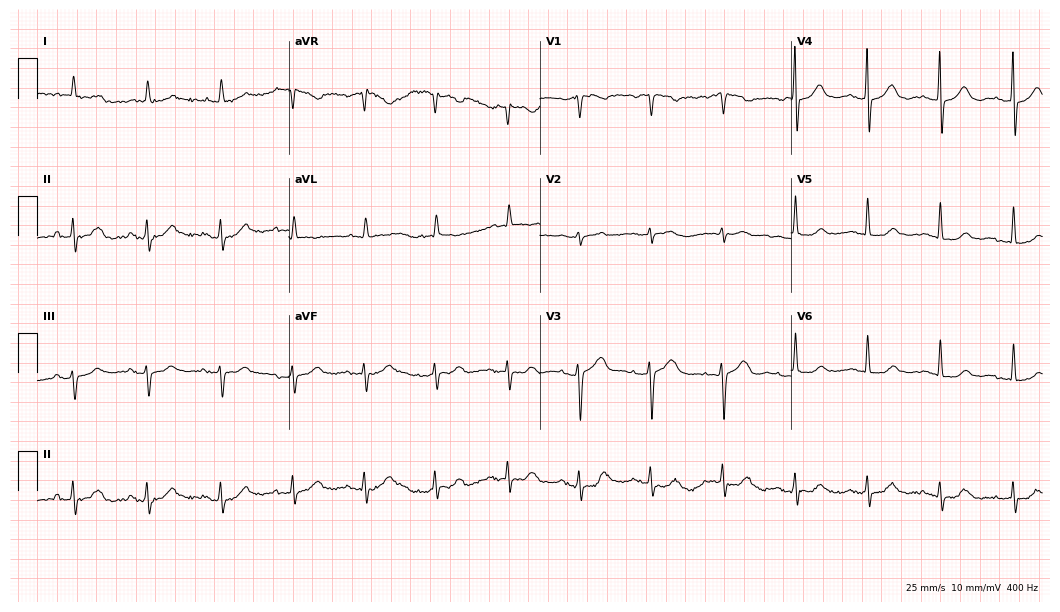
12-lead ECG from an 81-year-old female patient. Screened for six findings — first-degree AV block, right bundle branch block, left bundle branch block, sinus bradycardia, atrial fibrillation, sinus tachycardia — none is recorded.